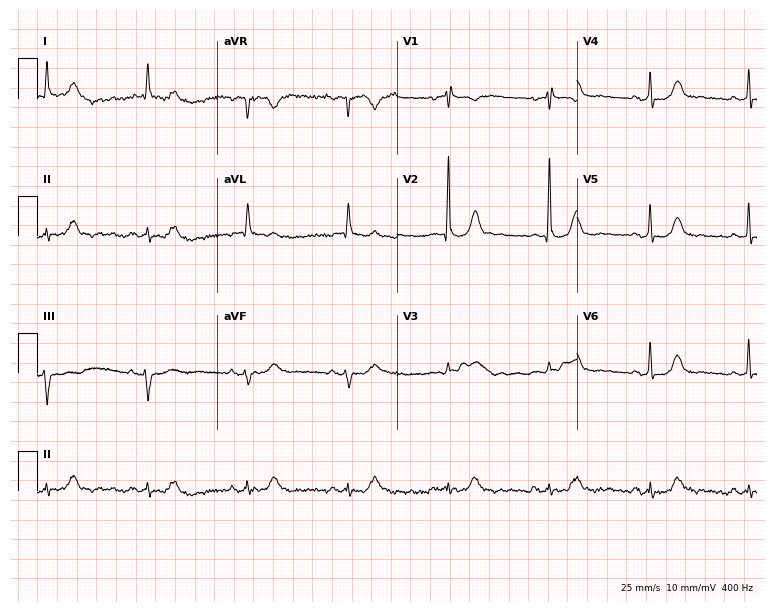
Resting 12-lead electrocardiogram (7.3-second recording at 400 Hz). Patient: a female, 82 years old. None of these six findings is recorded: first-degree AV block, right bundle branch block, left bundle branch block, sinus bradycardia, atrial fibrillation, sinus tachycardia. Other findings, if any, are not listed.